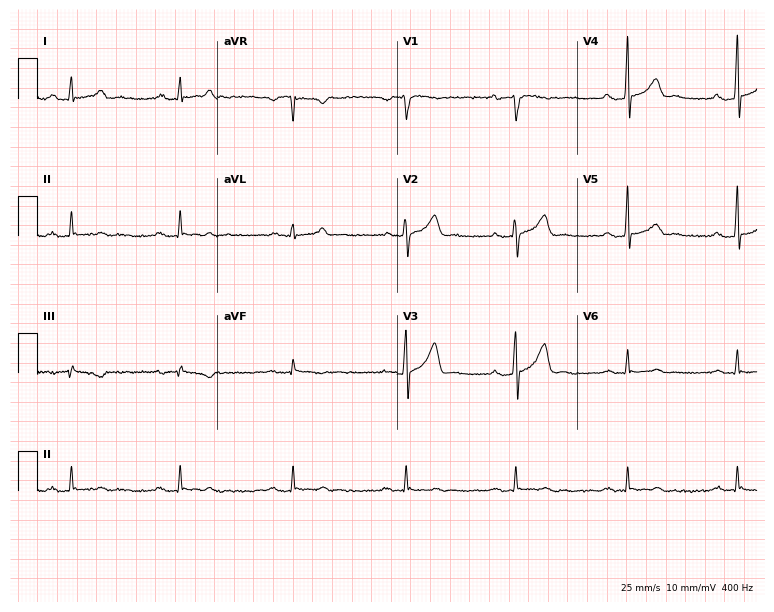
Standard 12-lead ECG recorded from a 58-year-old man (7.3-second recording at 400 Hz). None of these six findings is recorded: first-degree AV block, right bundle branch block, left bundle branch block, sinus bradycardia, atrial fibrillation, sinus tachycardia. Findings outside these six are not listed.